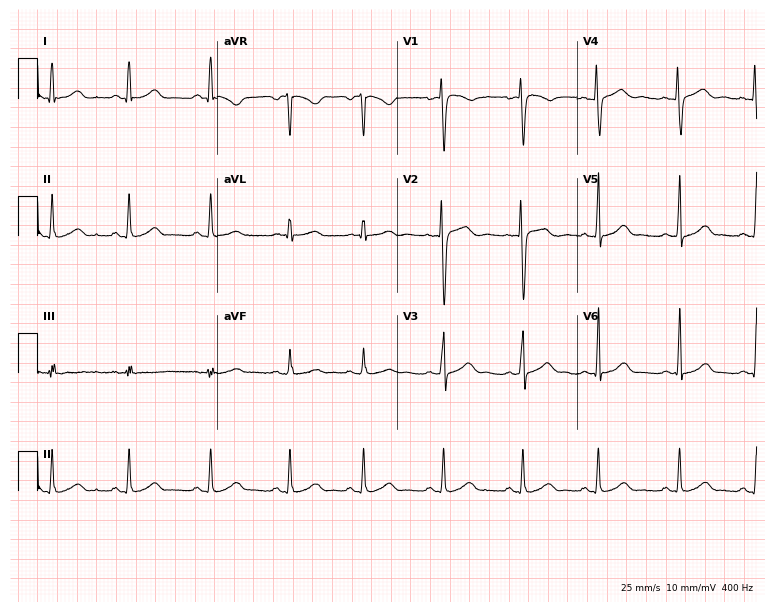
12-lead ECG from a female, 23 years old. No first-degree AV block, right bundle branch block, left bundle branch block, sinus bradycardia, atrial fibrillation or sinus tachycardia recorded for this tracing. Other findings, if any, are not listed.